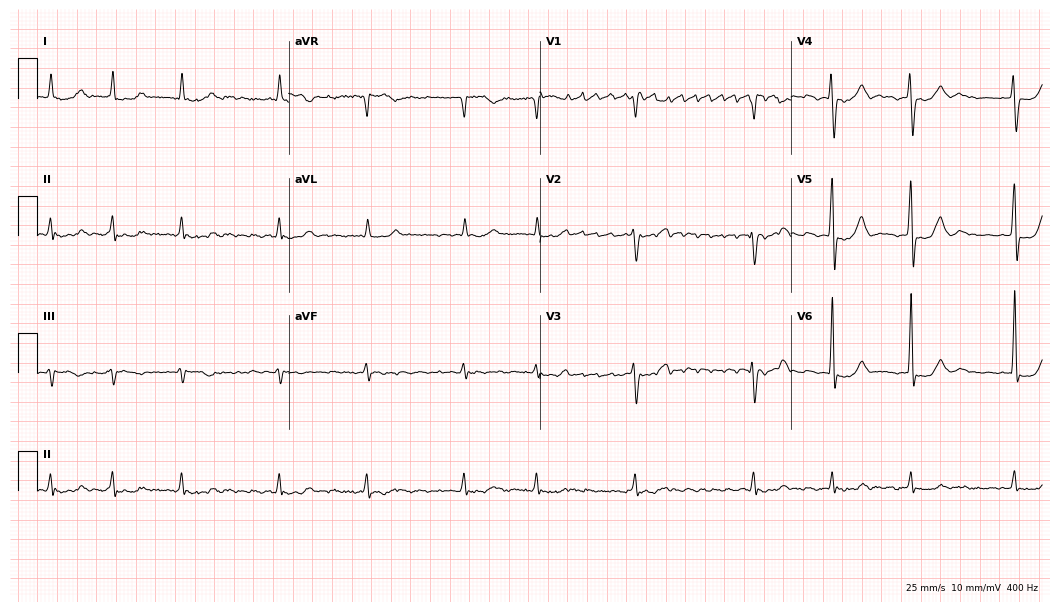
Resting 12-lead electrocardiogram (10.2-second recording at 400 Hz). Patient: a 66-year-old female. None of these six findings is recorded: first-degree AV block, right bundle branch block, left bundle branch block, sinus bradycardia, atrial fibrillation, sinus tachycardia.